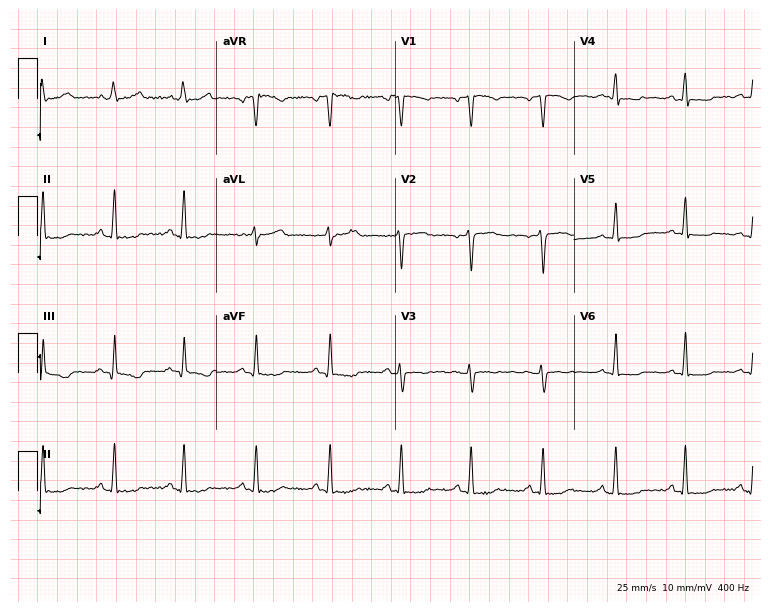
Standard 12-lead ECG recorded from a female, 25 years old. None of these six findings is recorded: first-degree AV block, right bundle branch block, left bundle branch block, sinus bradycardia, atrial fibrillation, sinus tachycardia. Findings outside these six are not listed.